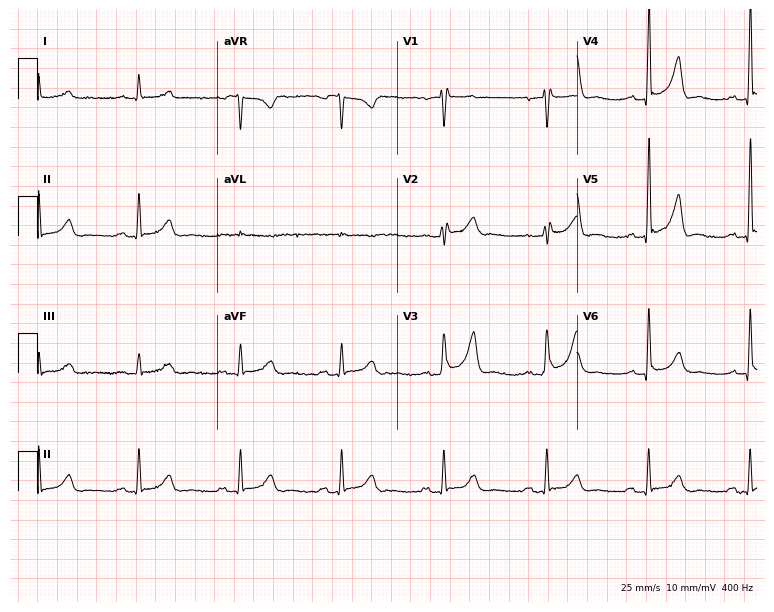
Electrocardiogram, a male, 56 years old. Of the six screened findings (first-degree AV block, right bundle branch block, left bundle branch block, sinus bradycardia, atrial fibrillation, sinus tachycardia), none is recorded.